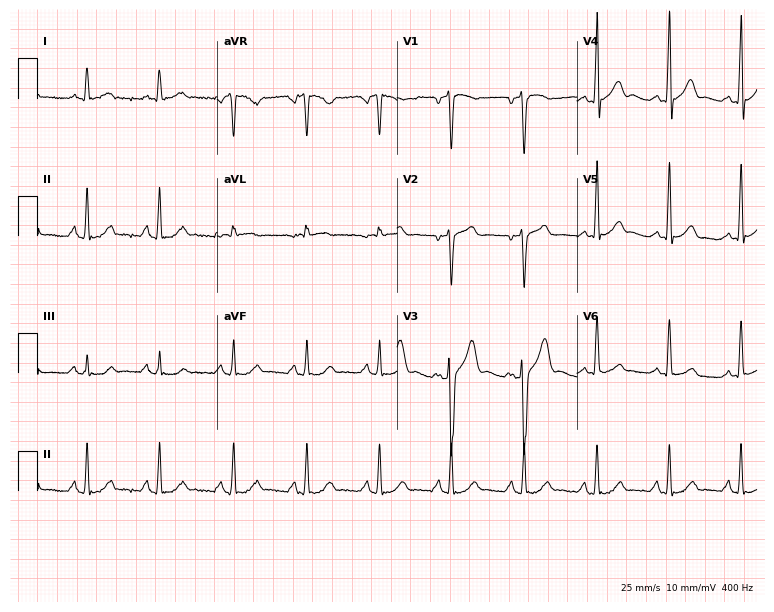
12-lead ECG from a 30-year-old male patient. Recorded interpretation: within normal limits.